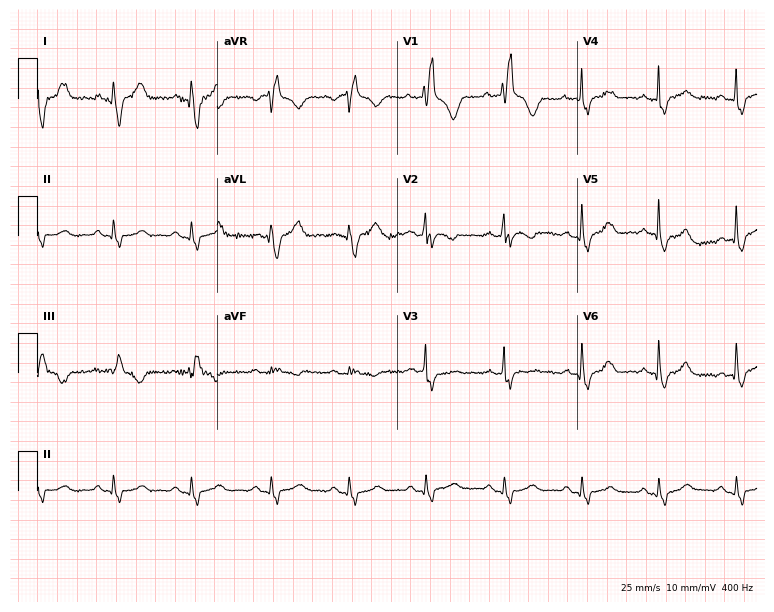
12-lead ECG from a female patient, 32 years old. Shows right bundle branch block (RBBB).